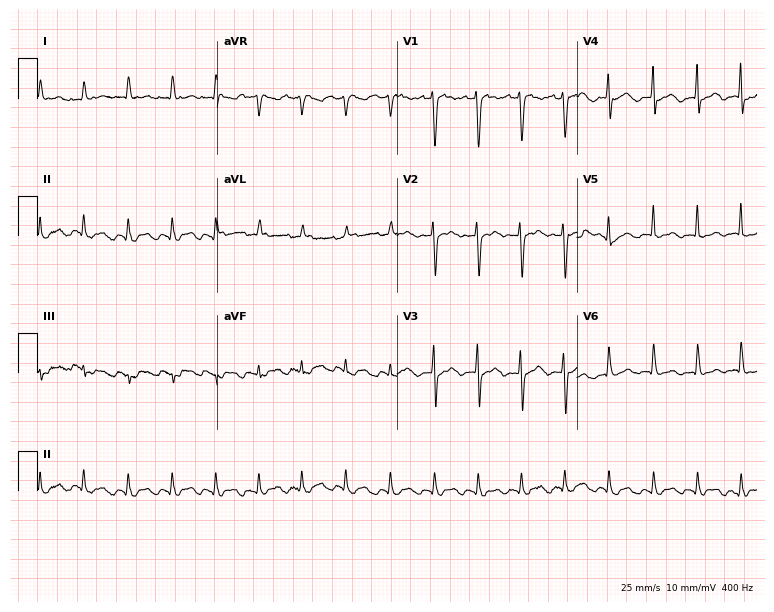
Standard 12-lead ECG recorded from a man, 73 years old (7.3-second recording at 400 Hz). None of these six findings is recorded: first-degree AV block, right bundle branch block (RBBB), left bundle branch block (LBBB), sinus bradycardia, atrial fibrillation (AF), sinus tachycardia.